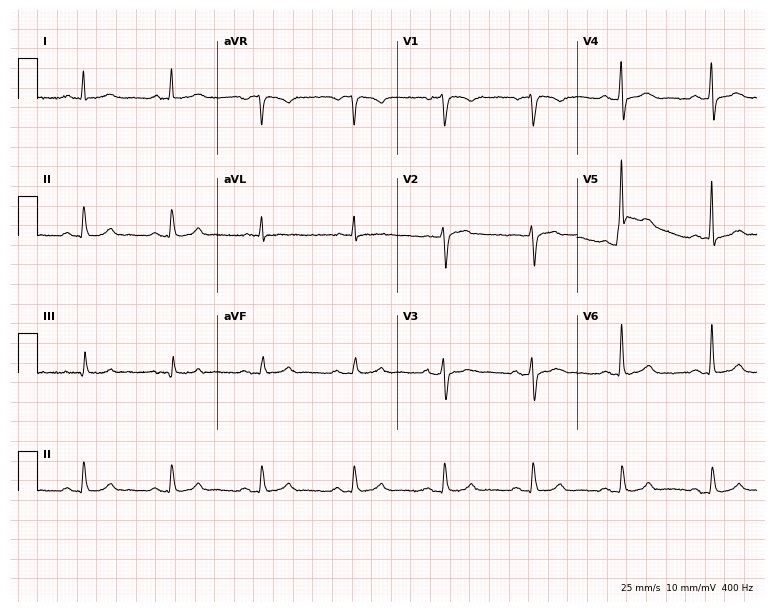
12-lead ECG from a 66-year-old male. No first-degree AV block, right bundle branch block (RBBB), left bundle branch block (LBBB), sinus bradycardia, atrial fibrillation (AF) or sinus tachycardia recorded for this tracing.